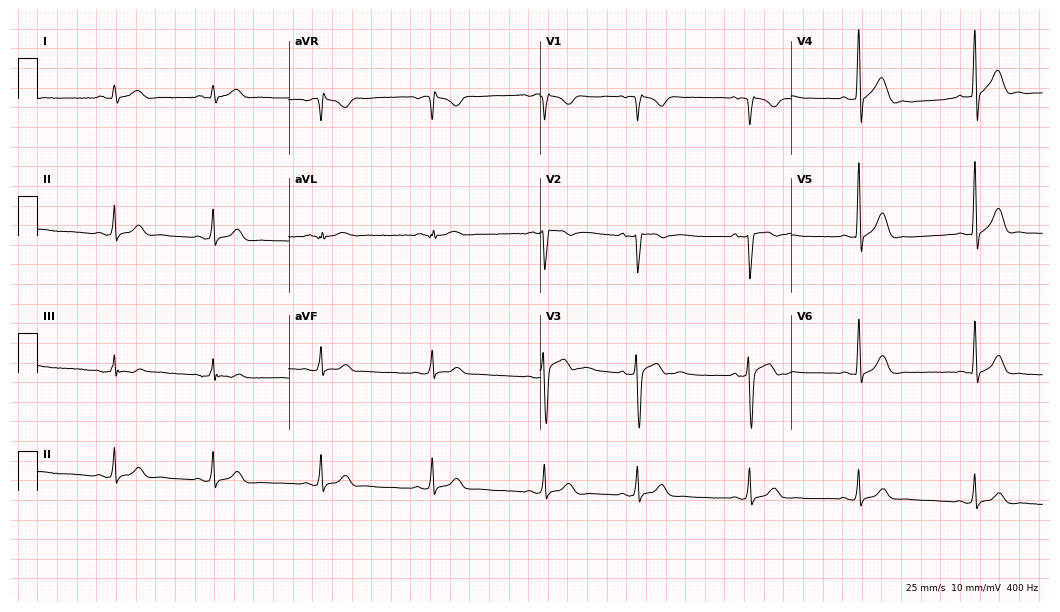
Resting 12-lead electrocardiogram. Patient: an 18-year-old man. Read as a normal ECG.